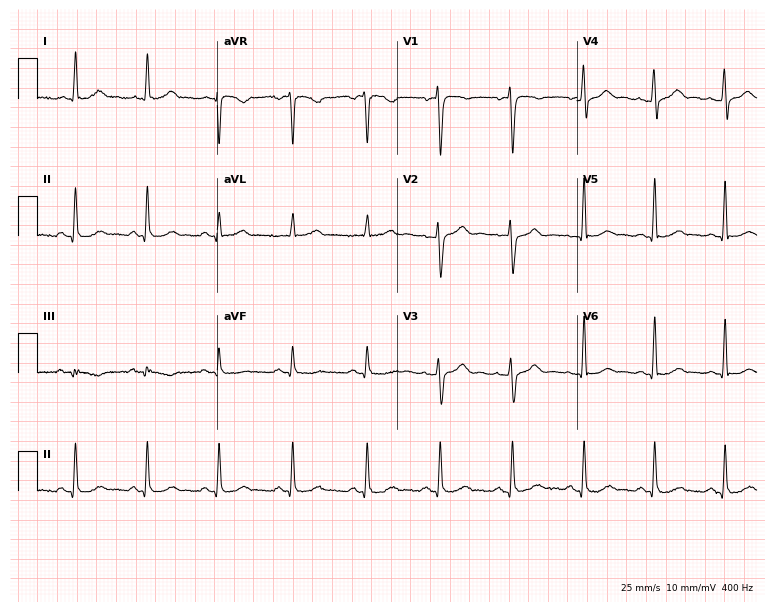
ECG — a 41-year-old male. Labelled as a normal ECG.